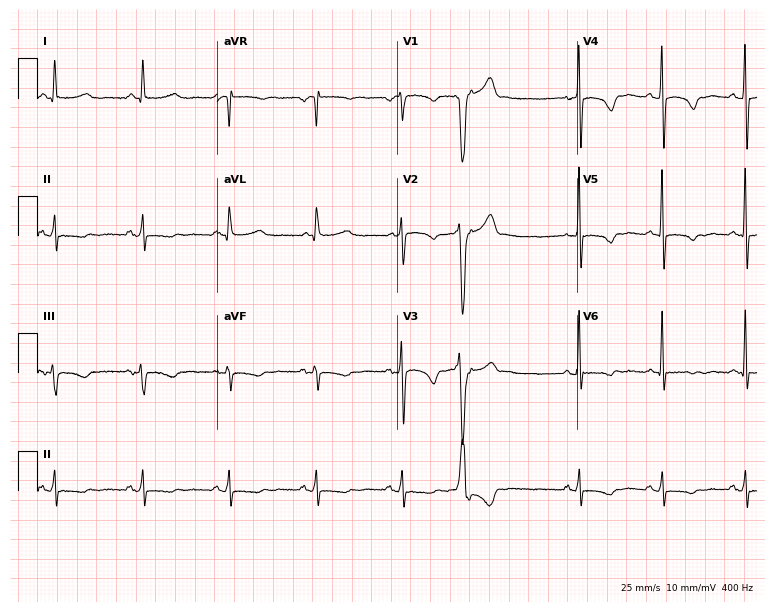
Resting 12-lead electrocardiogram (7.3-second recording at 400 Hz). Patient: a 51-year-old female. None of these six findings is recorded: first-degree AV block, right bundle branch block, left bundle branch block, sinus bradycardia, atrial fibrillation, sinus tachycardia. Only these six findings were labelled.